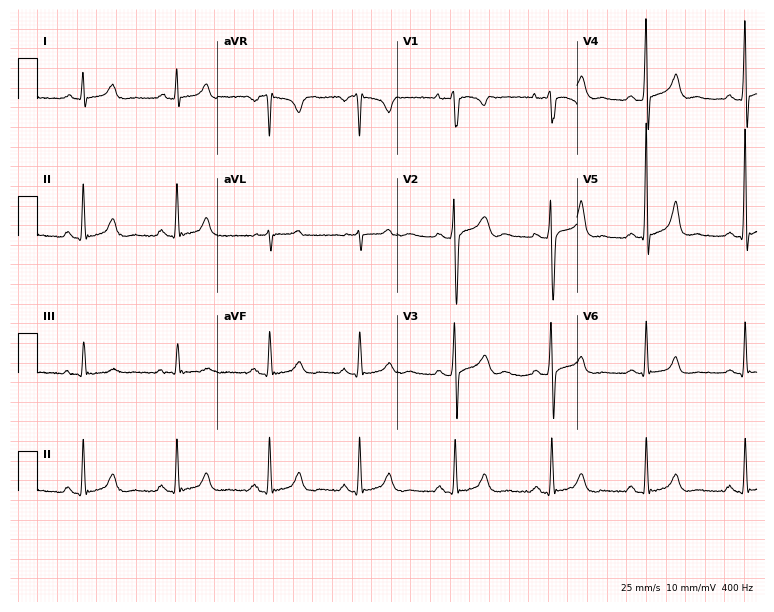
Electrocardiogram, a man, 52 years old. Overall reading on record: normal ECG.